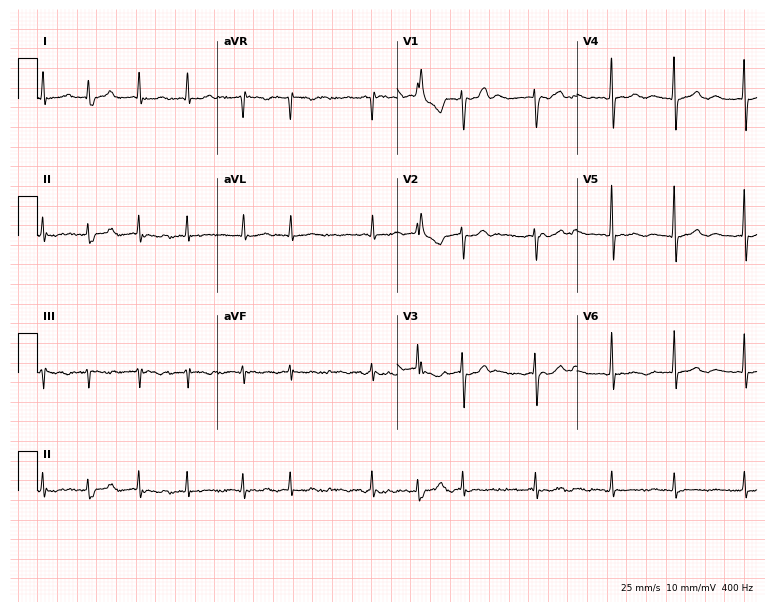
ECG — a 76-year-old female patient. Findings include atrial fibrillation (AF).